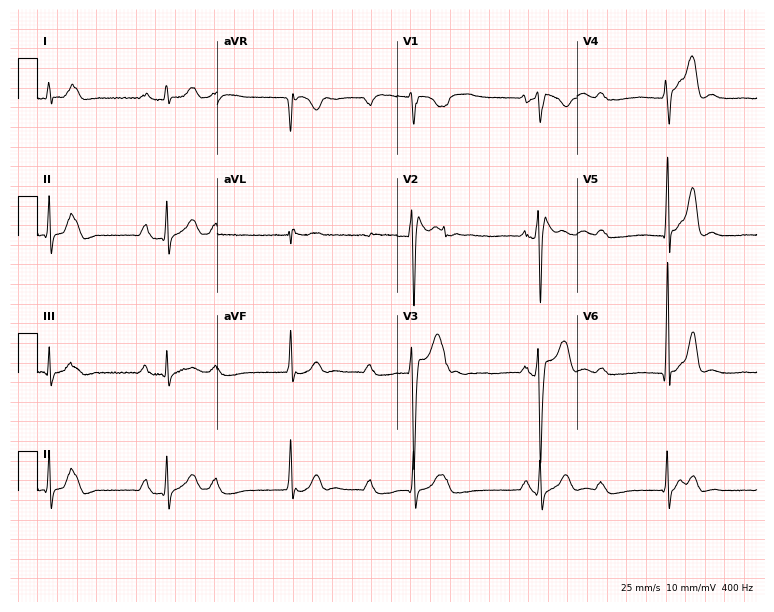
Standard 12-lead ECG recorded from a 38-year-old male (7.3-second recording at 400 Hz). None of these six findings is recorded: first-degree AV block, right bundle branch block, left bundle branch block, sinus bradycardia, atrial fibrillation, sinus tachycardia.